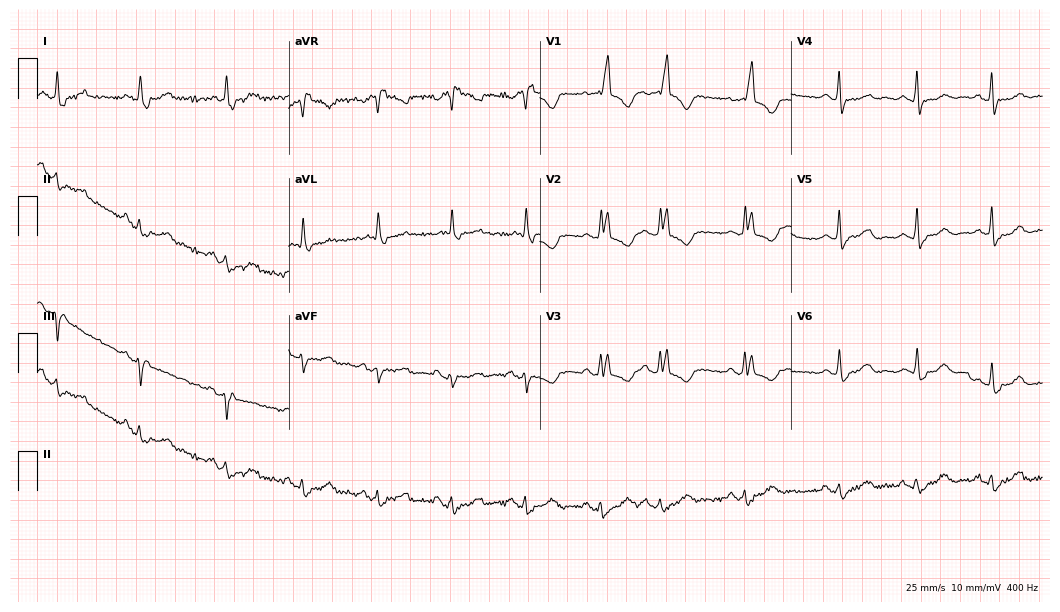
12-lead ECG from a female patient, 82 years old. Screened for six findings — first-degree AV block, right bundle branch block, left bundle branch block, sinus bradycardia, atrial fibrillation, sinus tachycardia — none is recorded. Findings outside these six are not listed.